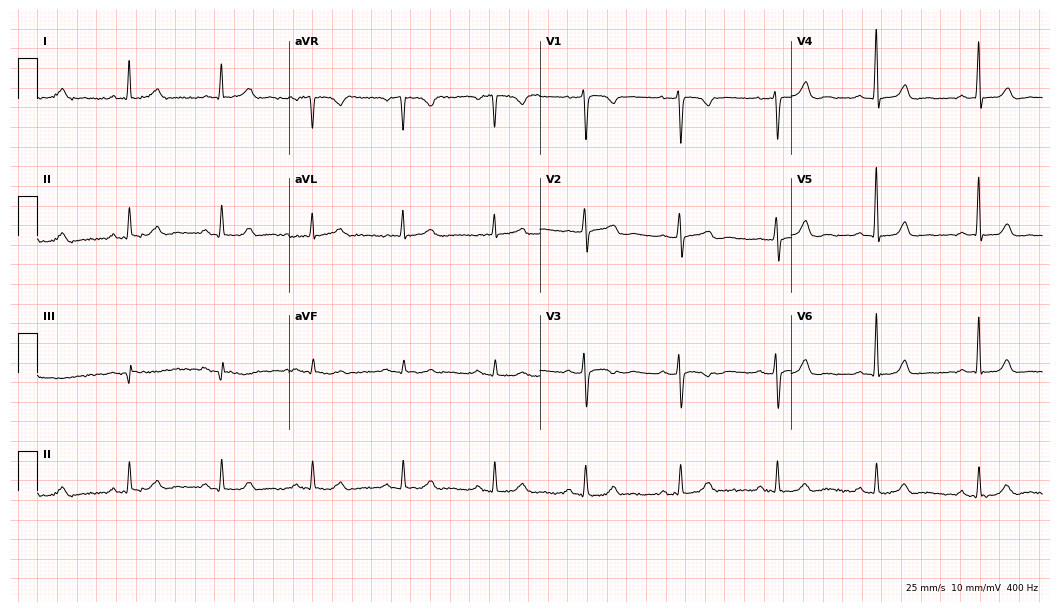
12-lead ECG from a female patient, 52 years old. No first-degree AV block, right bundle branch block, left bundle branch block, sinus bradycardia, atrial fibrillation or sinus tachycardia recorded for this tracing. Other findings, if any, are not listed.